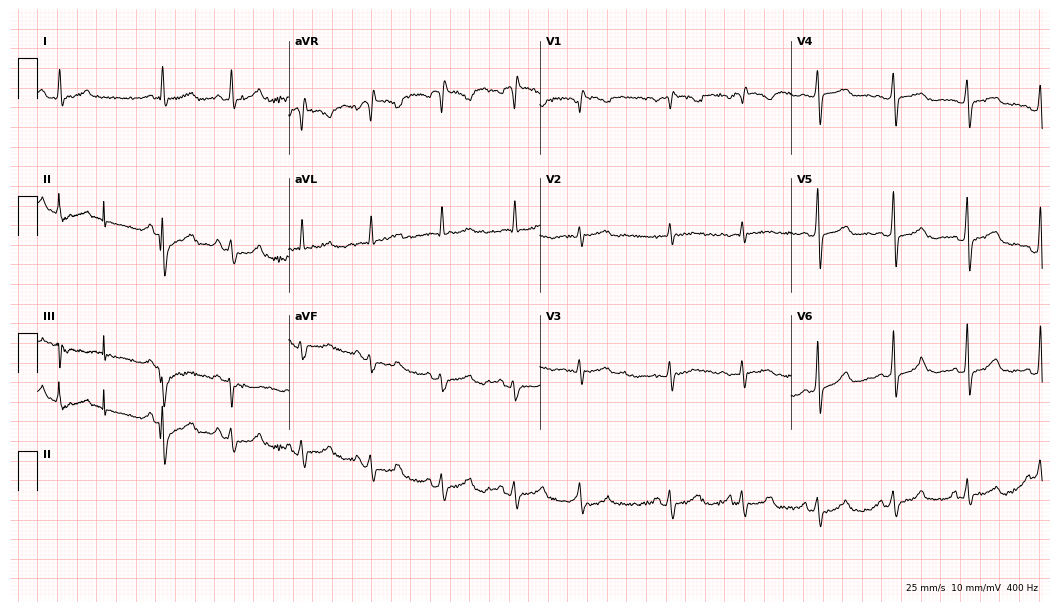
ECG (10.2-second recording at 400 Hz) — a 62-year-old female. Screened for six findings — first-degree AV block, right bundle branch block, left bundle branch block, sinus bradycardia, atrial fibrillation, sinus tachycardia — none is recorded.